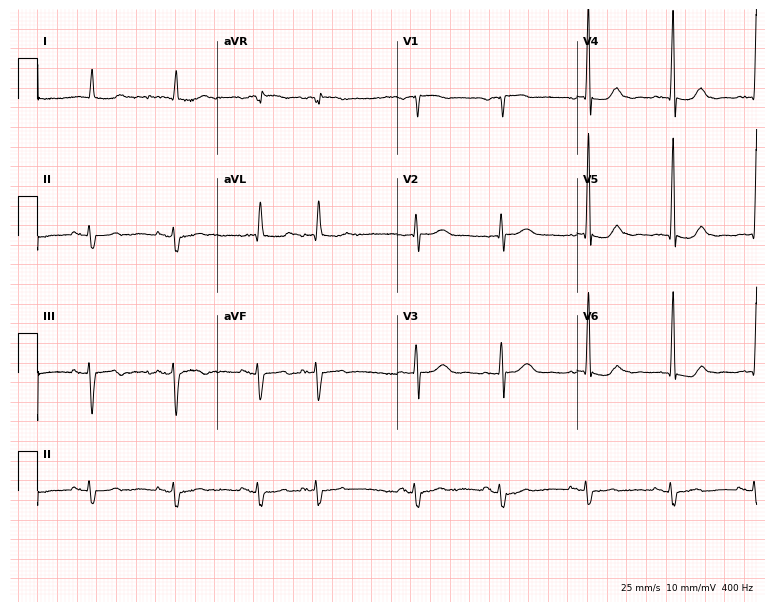
Standard 12-lead ECG recorded from a 79-year-old male patient (7.3-second recording at 400 Hz). None of these six findings is recorded: first-degree AV block, right bundle branch block, left bundle branch block, sinus bradycardia, atrial fibrillation, sinus tachycardia. Only these six findings were labelled.